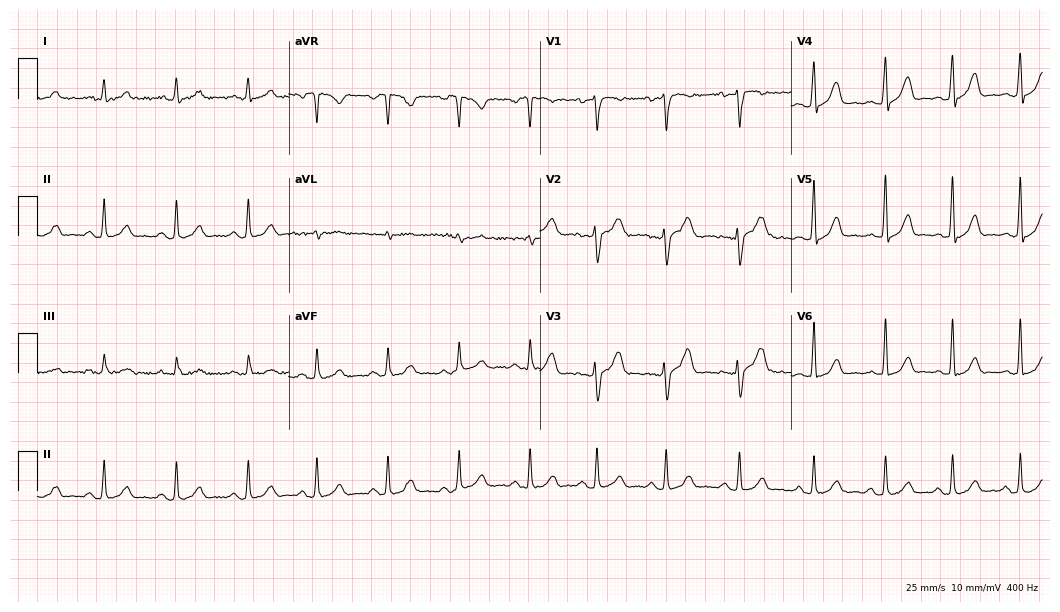
Electrocardiogram (10.2-second recording at 400 Hz), a female patient, 33 years old. Overall reading on record: normal ECG.